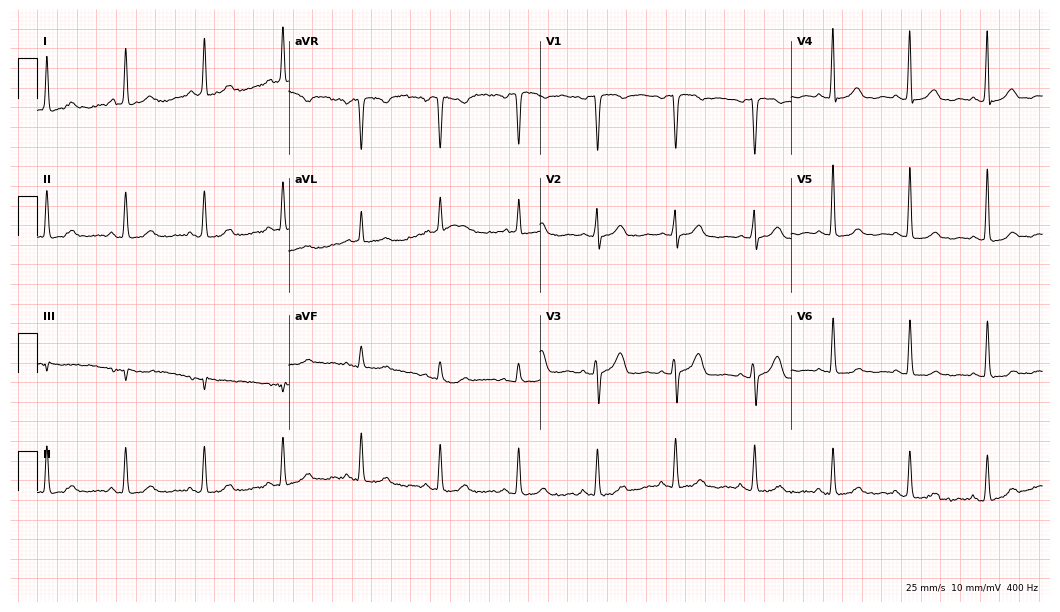
ECG — a 58-year-old female patient. Labelled as a normal ECG.